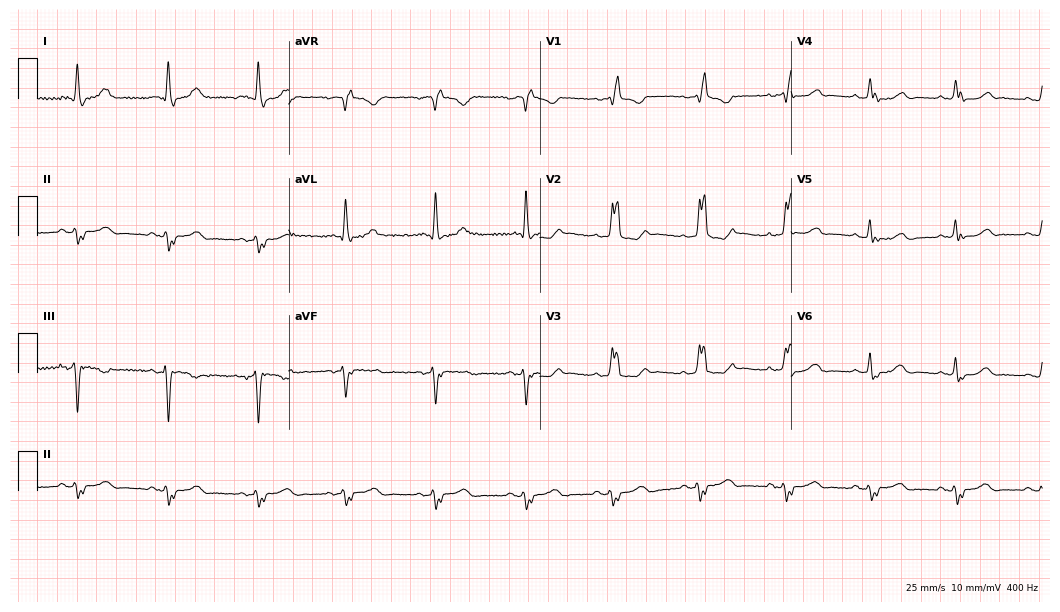
Standard 12-lead ECG recorded from a female patient, 80 years old (10.2-second recording at 400 Hz). The tracing shows right bundle branch block.